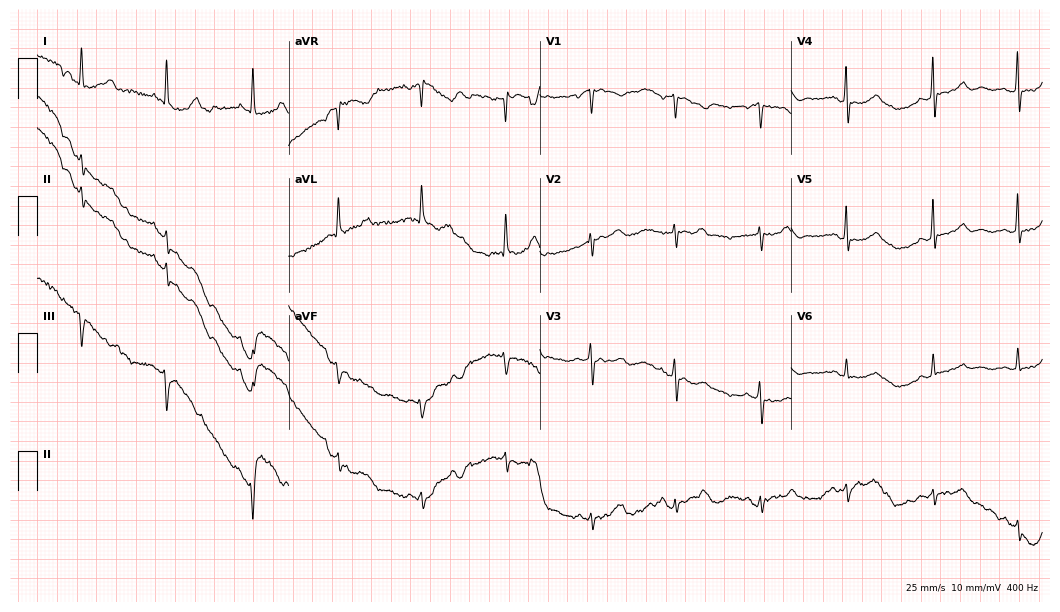
Standard 12-lead ECG recorded from a female patient, 63 years old. Read as a normal ECG.